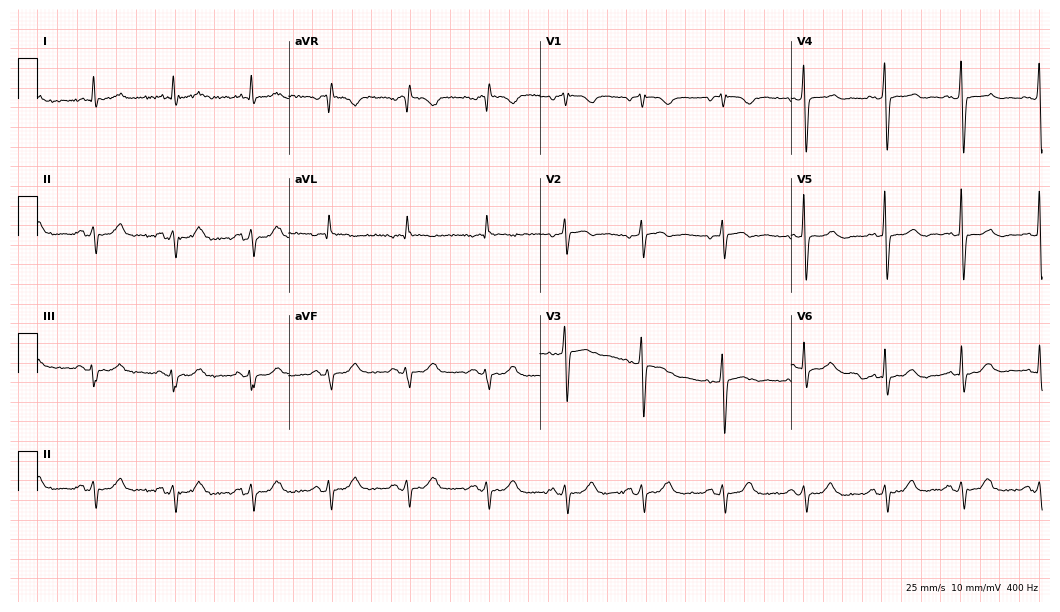
Standard 12-lead ECG recorded from a female patient, 78 years old. None of these six findings is recorded: first-degree AV block, right bundle branch block, left bundle branch block, sinus bradycardia, atrial fibrillation, sinus tachycardia.